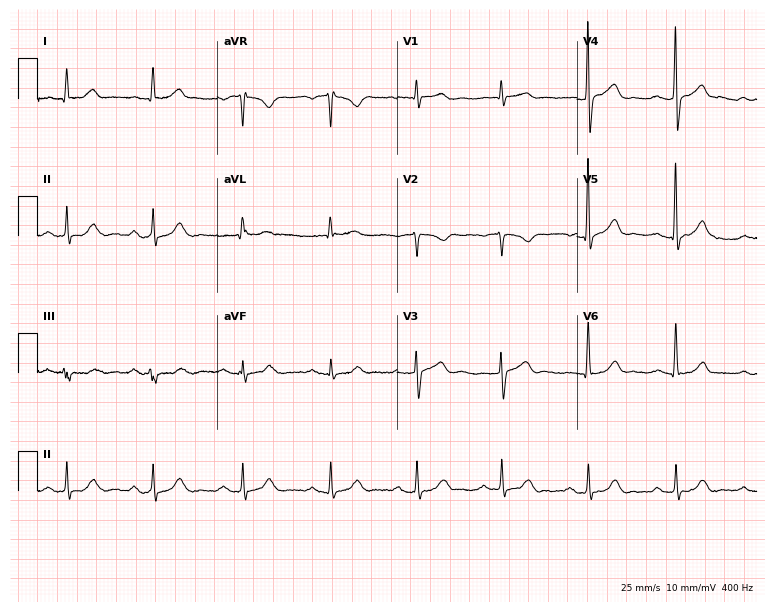
Electrocardiogram, a 51-year-old male. Interpretation includes first-degree AV block.